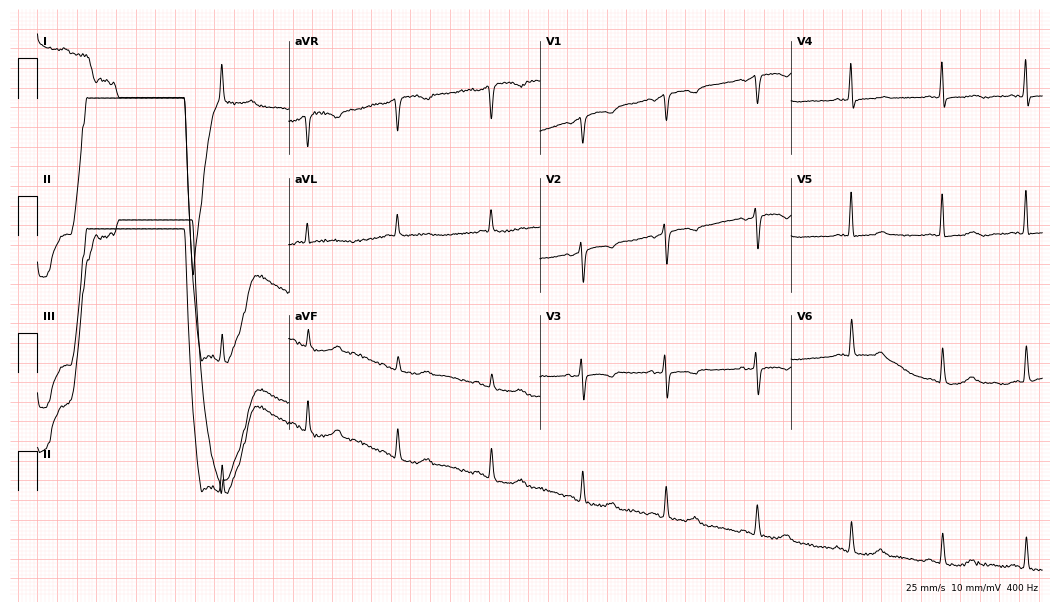
Electrocardiogram (10.2-second recording at 400 Hz), a 63-year-old female. Of the six screened findings (first-degree AV block, right bundle branch block, left bundle branch block, sinus bradycardia, atrial fibrillation, sinus tachycardia), none is recorded.